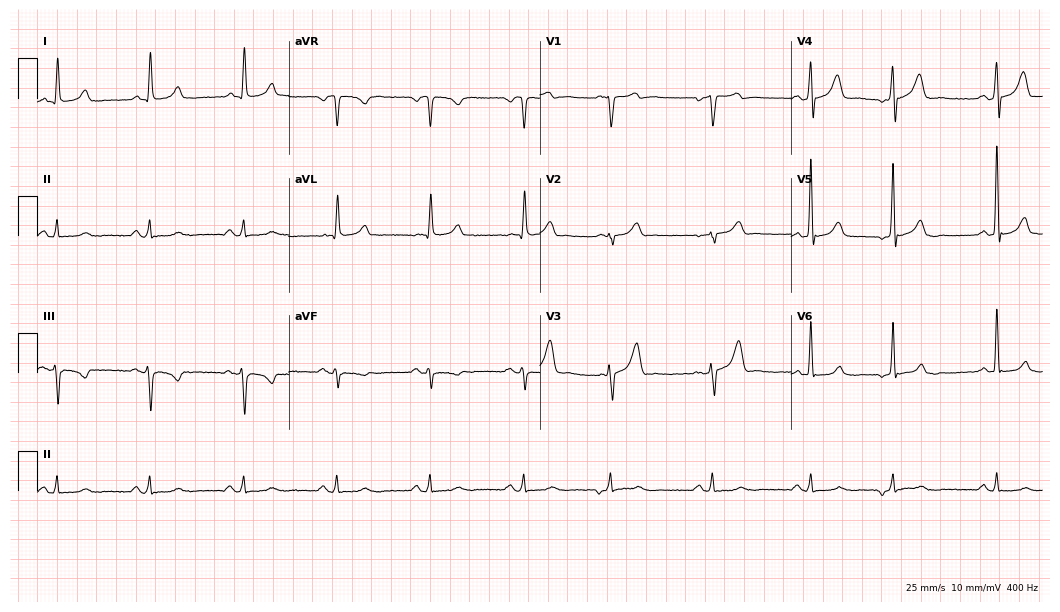
Standard 12-lead ECG recorded from a male patient, 60 years old (10.2-second recording at 400 Hz). None of these six findings is recorded: first-degree AV block, right bundle branch block (RBBB), left bundle branch block (LBBB), sinus bradycardia, atrial fibrillation (AF), sinus tachycardia.